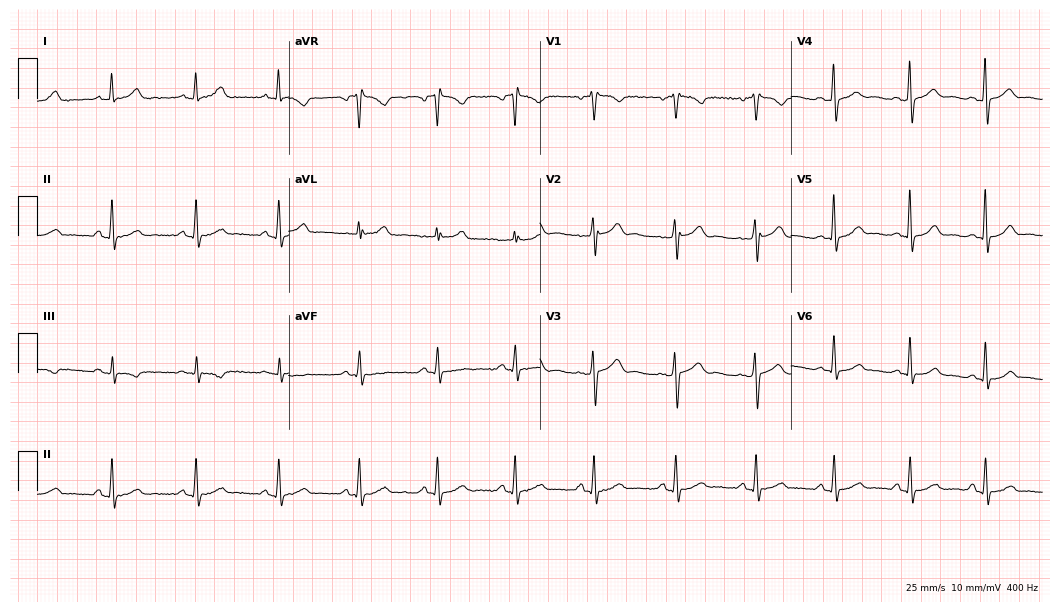
12-lead ECG from a 40-year-old female (10.2-second recording at 400 Hz). Recorded interpretation: within normal limits.